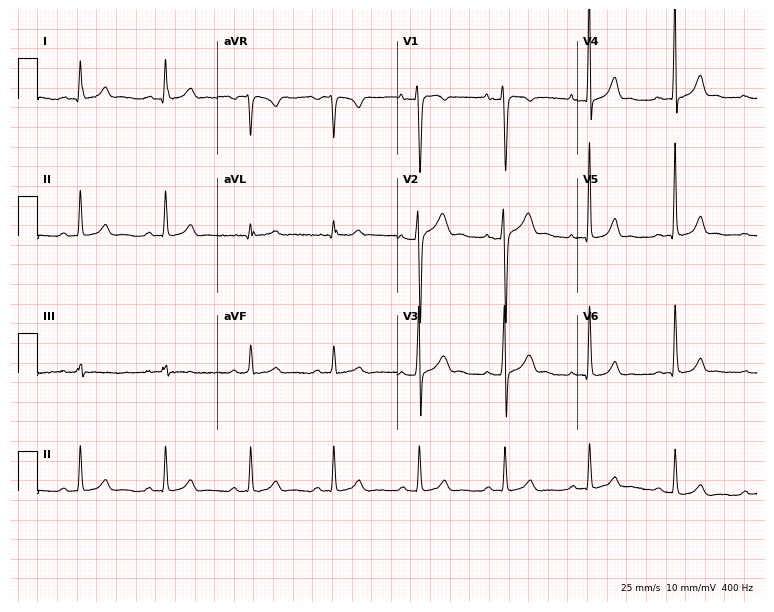
12-lead ECG from a 27-year-old male patient (7.3-second recording at 400 Hz). No first-degree AV block, right bundle branch block, left bundle branch block, sinus bradycardia, atrial fibrillation or sinus tachycardia recorded for this tracing.